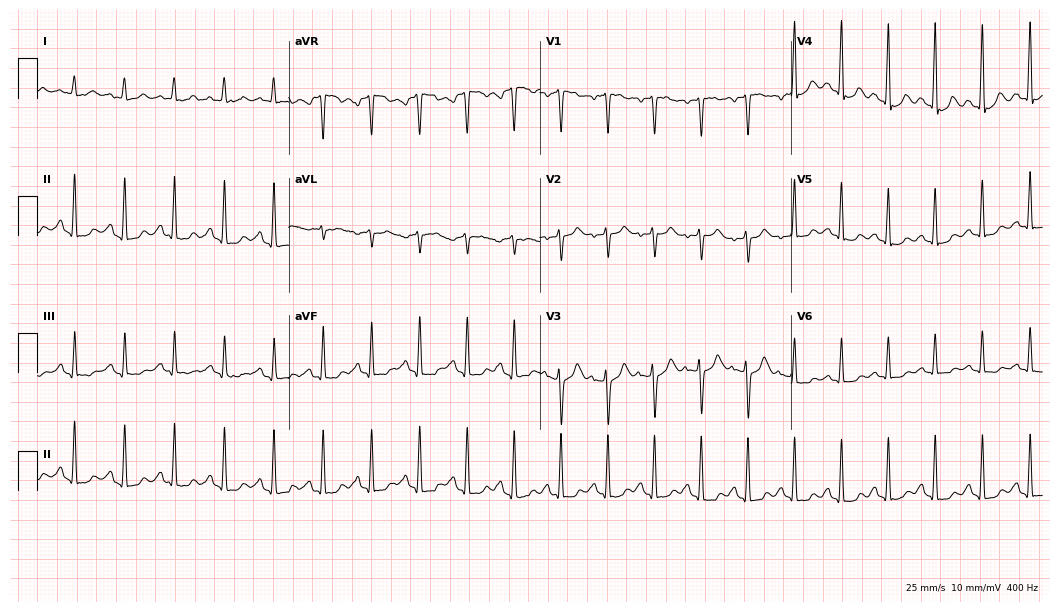
Standard 12-lead ECG recorded from a 33-year-old woman (10.2-second recording at 400 Hz). The tracing shows sinus tachycardia (a sinus rate of 100 beats per minute or more).